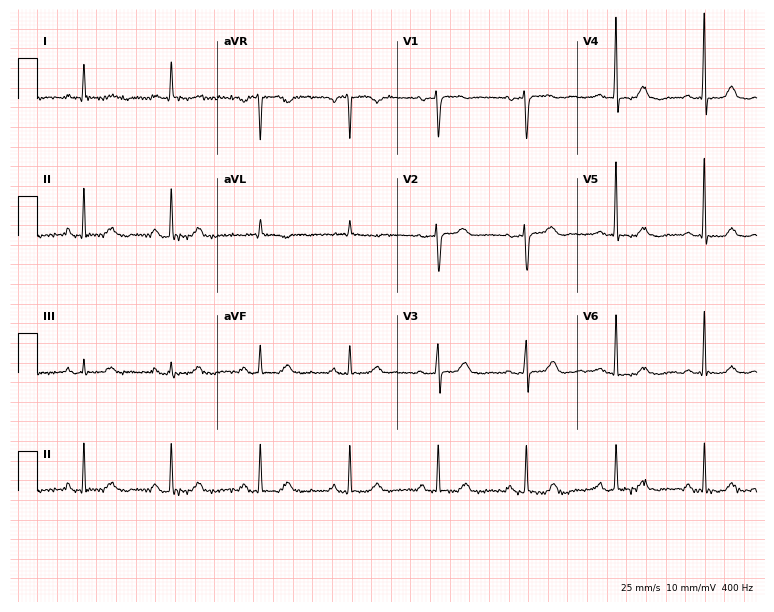
ECG (7.3-second recording at 400 Hz) — a female, 63 years old. Labelled as a normal ECG.